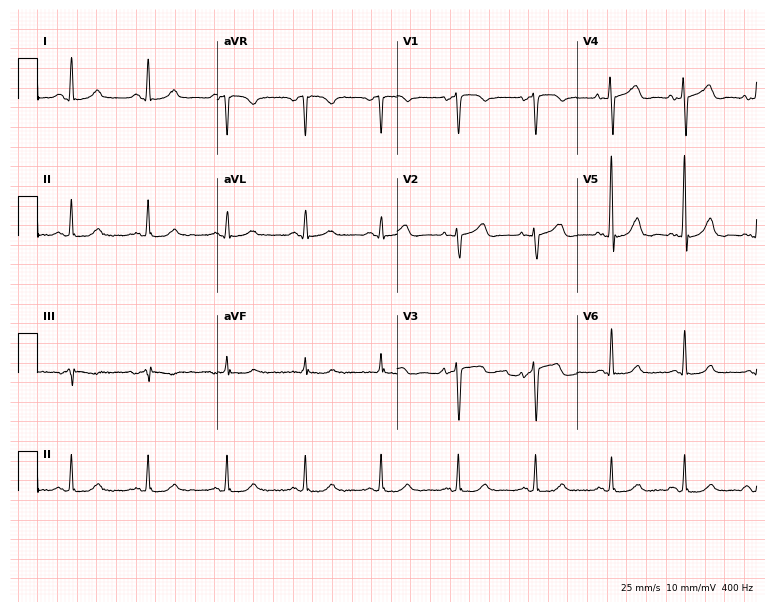
Standard 12-lead ECG recorded from a woman, 49 years old (7.3-second recording at 400 Hz). Read as a normal ECG.